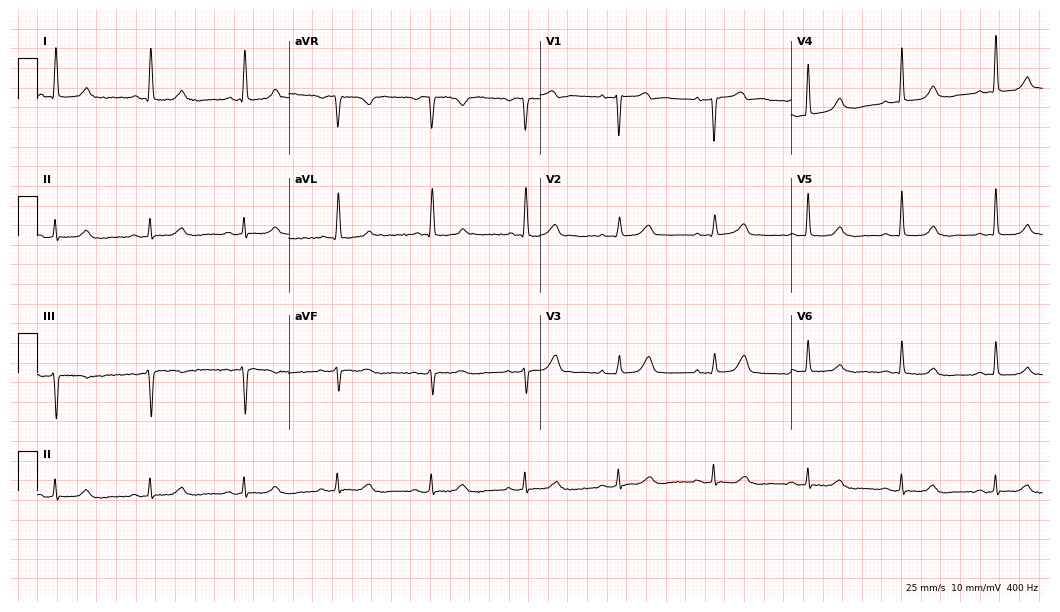
Electrocardiogram, a female patient, 82 years old. Of the six screened findings (first-degree AV block, right bundle branch block, left bundle branch block, sinus bradycardia, atrial fibrillation, sinus tachycardia), none is recorded. Findings outside these six are not listed.